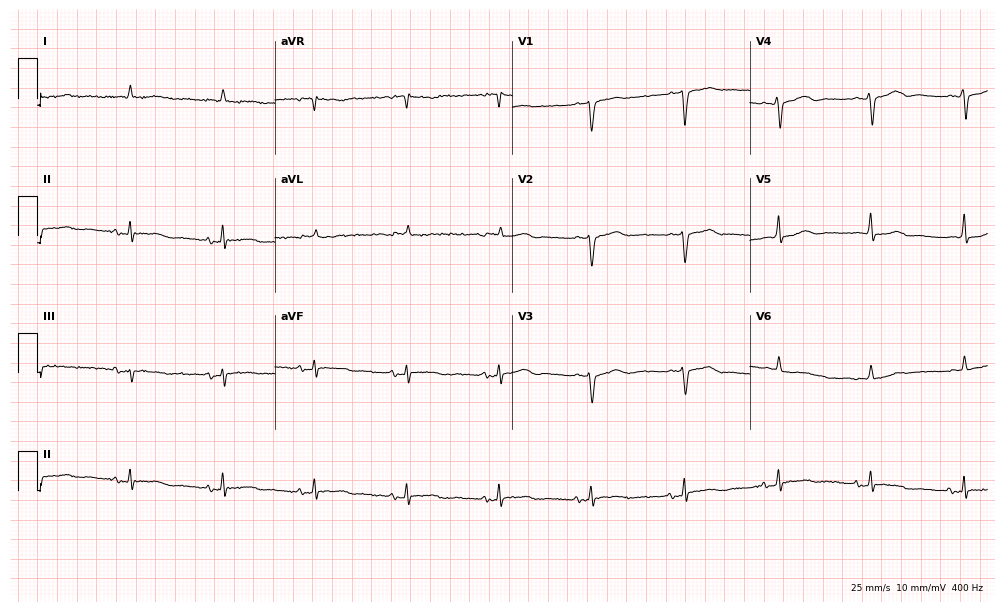
Standard 12-lead ECG recorded from an 84-year-old male. Read as a normal ECG.